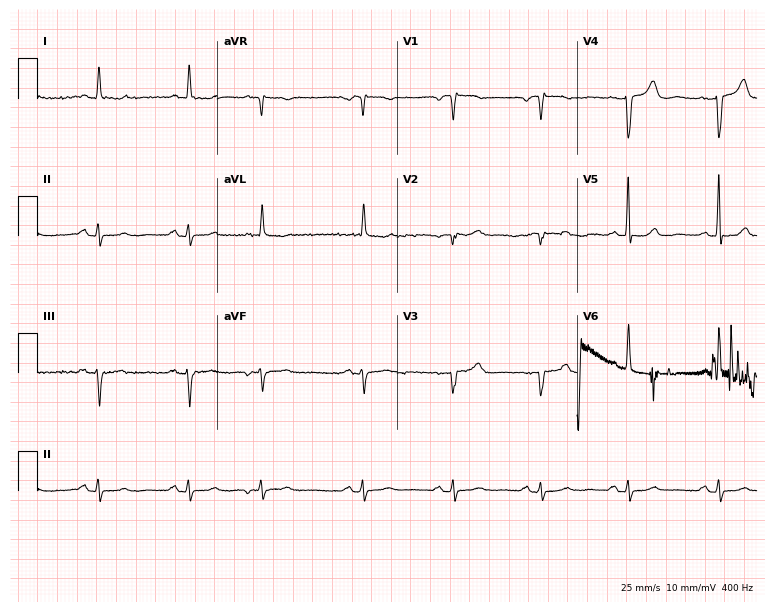
12-lead ECG from an 84-year-old woman. Screened for six findings — first-degree AV block, right bundle branch block, left bundle branch block, sinus bradycardia, atrial fibrillation, sinus tachycardia — none is recorded. Only these six findings were labelled.